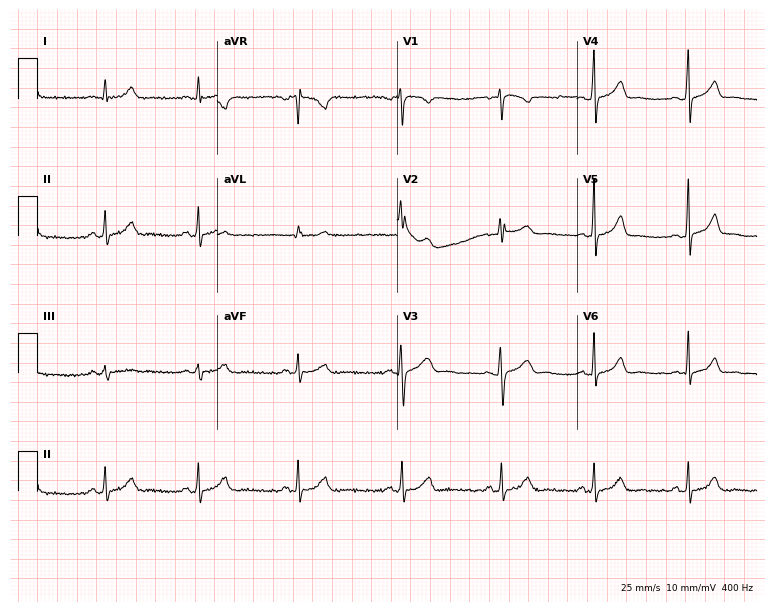
12-lead ECG from a 24-year-old female patient. No first-degree AV block, right bundle branch block (RBBB), left bundle branch block (LBBB), sinus bradycardia, atrial fibrillation (AF) or sinus tachycardia recorded for this tracing.